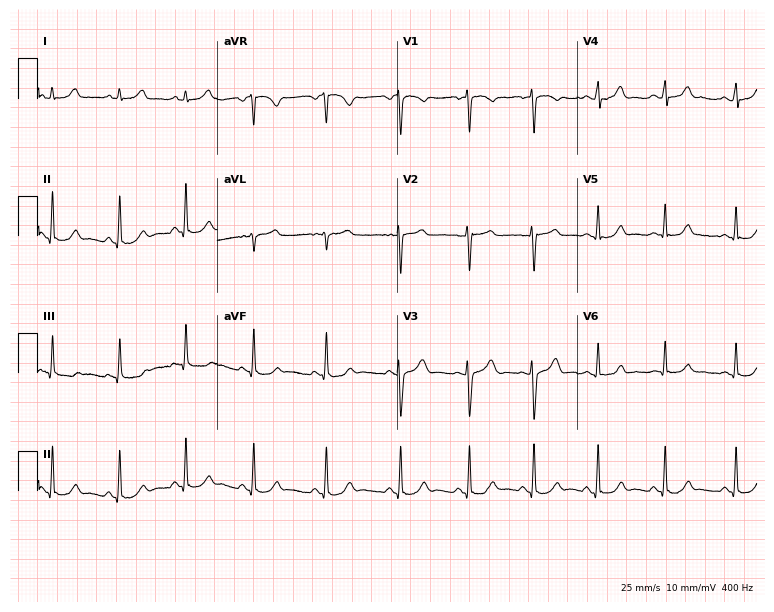
Standard 12-lead ECG recorded from a woman, 18 years old (7.3-second recording at 400 Hz). Read as a normal ECG.